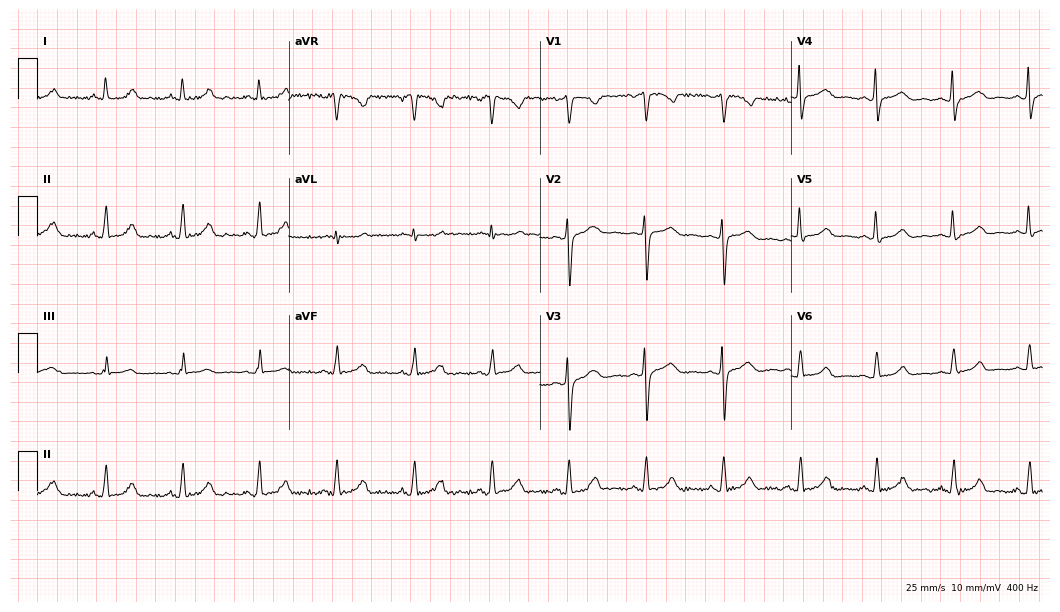
12-lead ECG from a 39-year-old female (10.2-second recording at 400 Hz). Recorded interpretation: within normal limits.